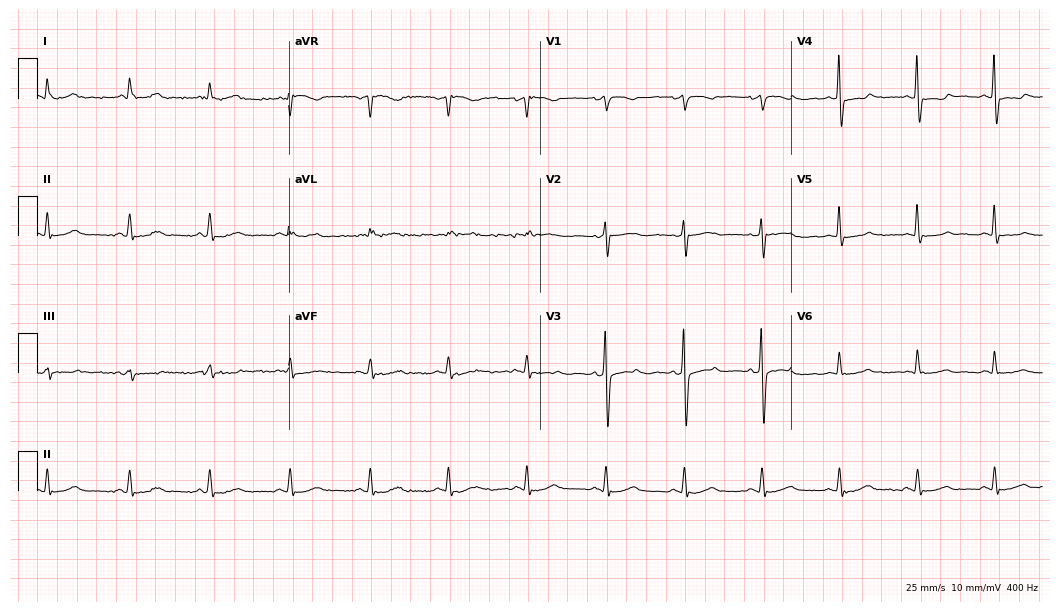
12-lead ECG from a 75-year-old female (10.2-second recording at 400 Hz). No first-degree AV block, right bundle branch block, left bundle branch block, sinus bradycardia, atrial fibrillation or sinus tachycardia recorded for this tracing. Findings outside these six are not listed.